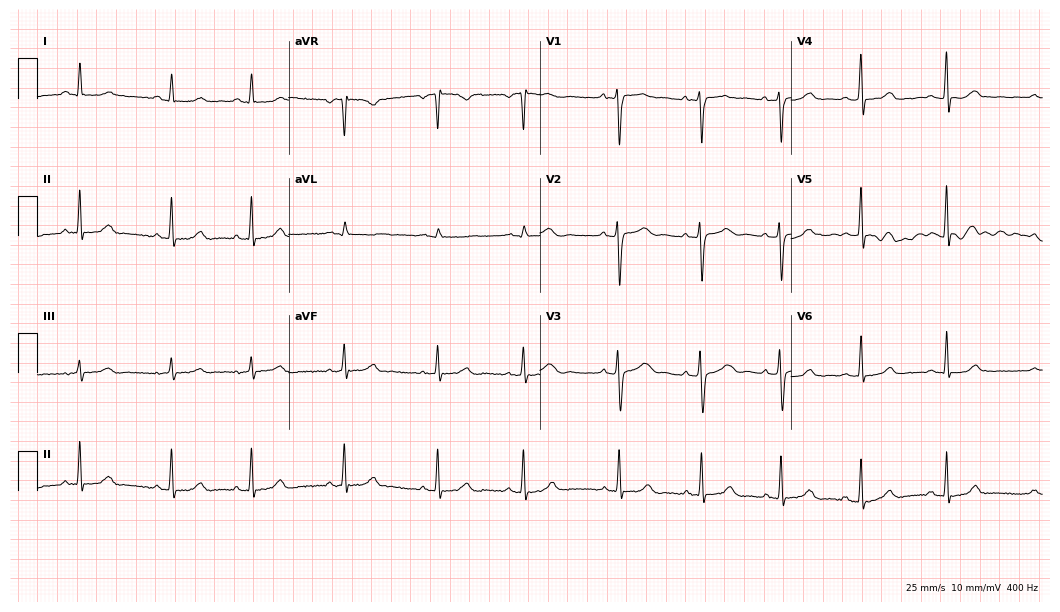
ECG — a female, 25 years old. Labelled as a normal ECG.